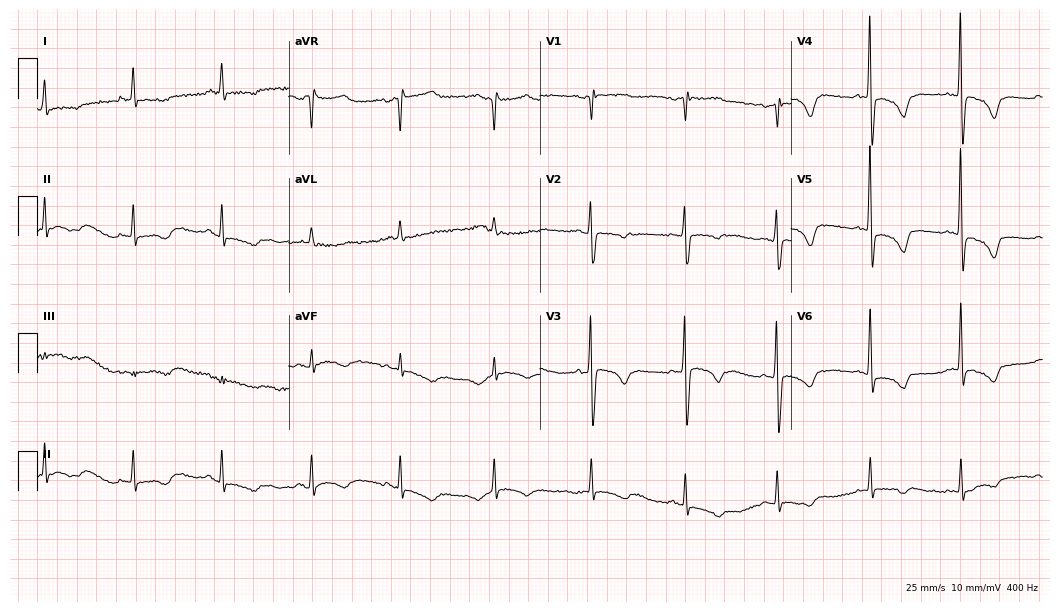
ECG (10.2-second recording at 400 Hz) — a 66-year-old male. Screened for six findings — first-degree AV block, right bundle branch block, left bundle branch block, sinus bradycardia, atrial fibrillation, sinus tachycardia — none is recorded.